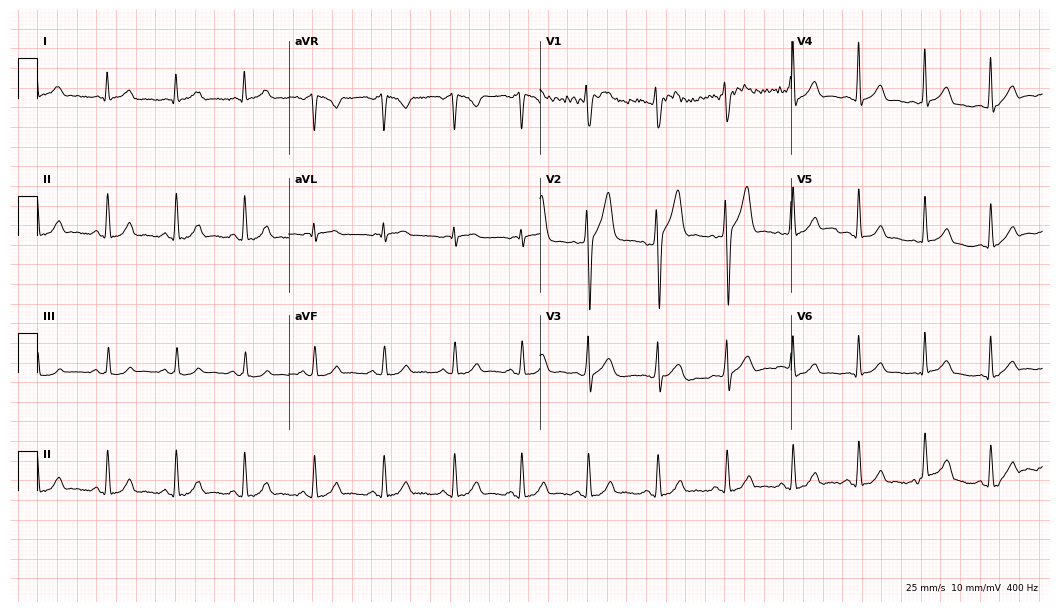
12-lead ECG from a male patient, 32 years old. Labelled as a normal ECG.